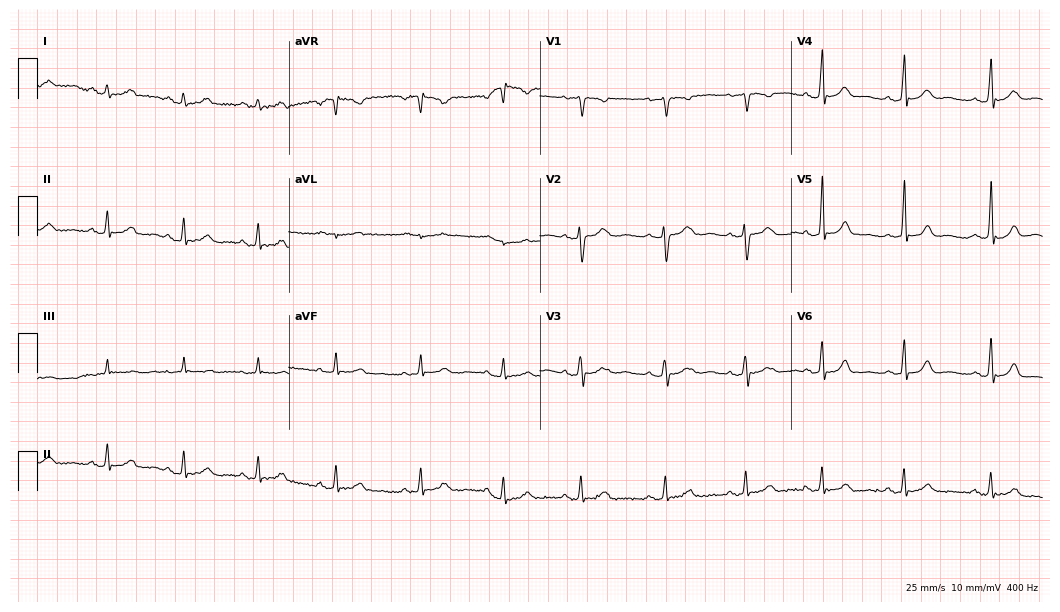
Electrocardiogram, a male, 22 years old. Overall reading on record: normal ECG.